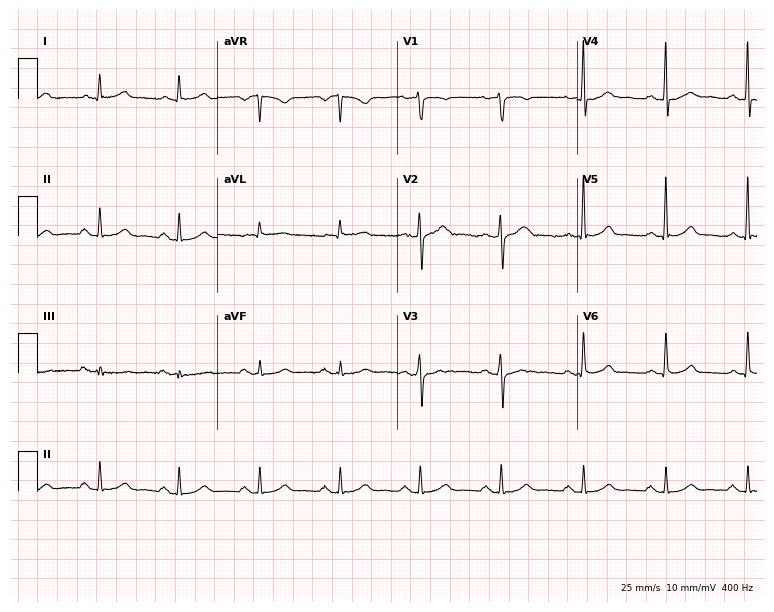
12-lead ECG from a 65-year-old male. No first-degree AV block, right bundle branch block (RBBB), left bundle branch block (LBBB), sinus bradycardia, atrial fibrillation (AF) or sinus tachycardia recorded for this tracing.